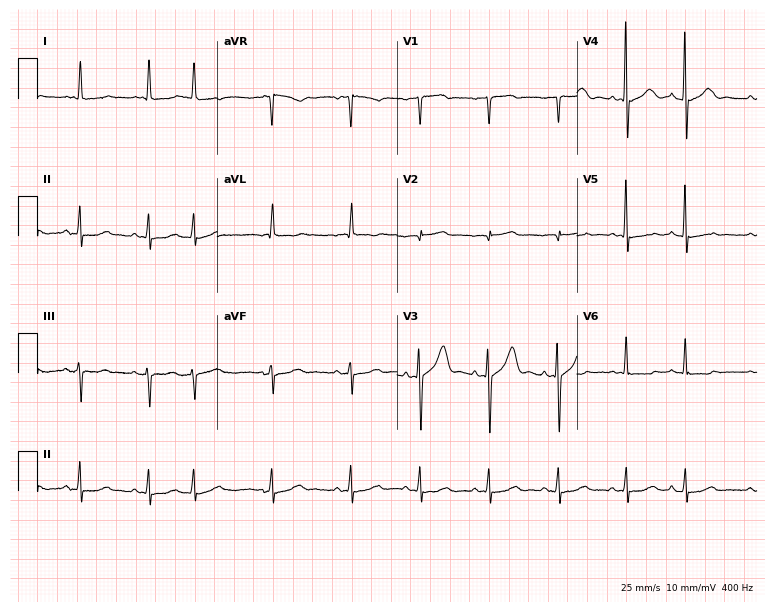
Standard 12-lead ECG recorded from a 79-year-old man. None of these six findings is recorded: first-degree AV block, right bundle branch block (RBBB), left bundle branch block (LBBB), sinus bradycardia, atrial fibrillation (AF), sinus tachycardia.